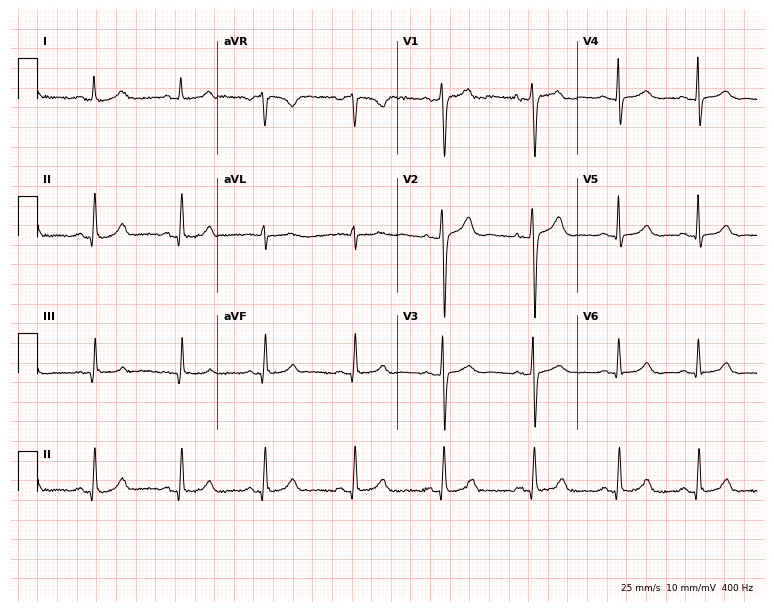
12-lead ECG (7.3-second recording at 400 Hz) from a woman, 21 years old. Labelled as a normal ECG.